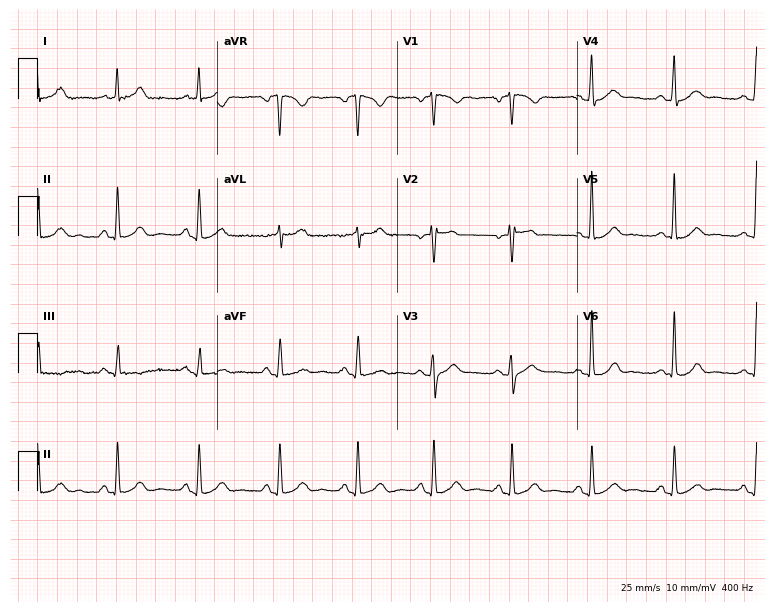
Standard 12-lead ECG recorded from a 55-year-old woman (7.3-second recording at 400 Hz). None of these six findings is recorded: first-degree AV block, right bundle branch block (RBBB), left bundle branch block (LBBB), sinus bradycardia, atrial fibrillation (AF), sinus tachycardia. Findings outside these six are not listed.